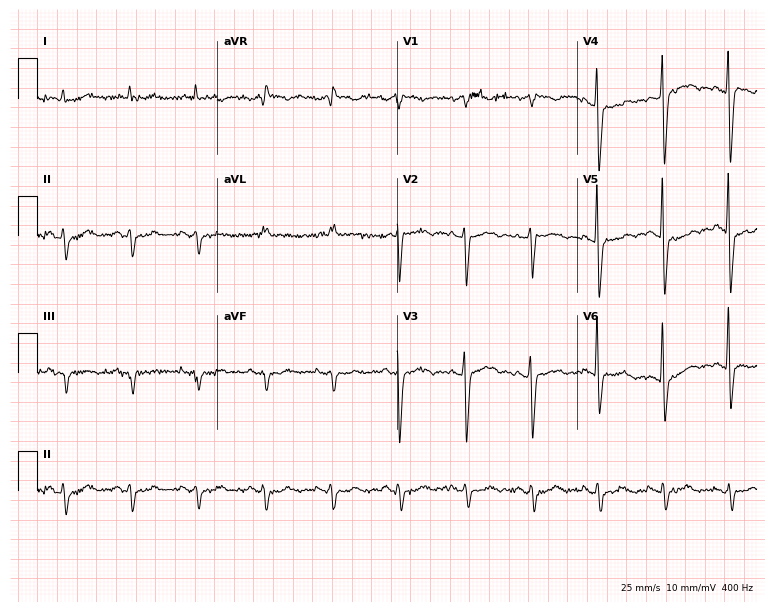
Electrocardiogram, a male, 87 years old. Of the six screened findings (first-degree AV block, right bundle branch block, left bundle branch block, sinus bradycardia, atrial fibrillation, sinus tachycardia), none is recorded.